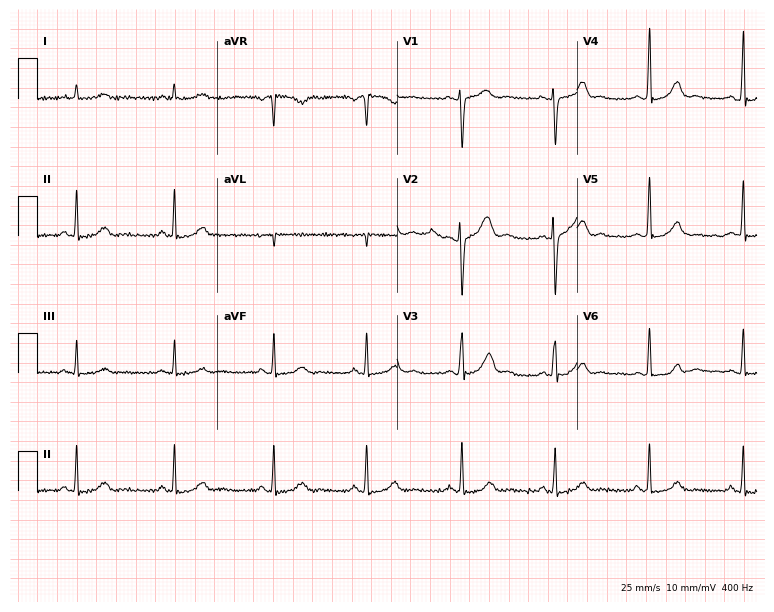
Electrocardiogram (7.3-second recording at 400 Hz), a woman, 30 years old. Of the six screened findings (first-degree AV block, right bundle branch block, left bundle branch block, sinus bradycardia, atrial fibrillation, sinus tachycardia), none is recorded. Only these six findings were labelled.